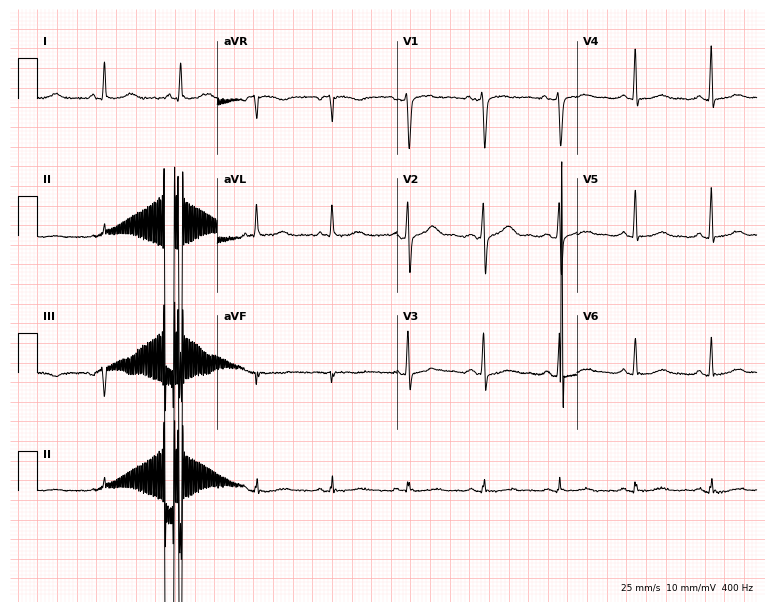
Electrocardiogram, a female, 73 years old. Of the six screened findings (first-degree AV block, right bundle branch block, left bundle branch block, sinus bradycardia, atrial fibrillation, sinus tachycardia), none is recorded. Only these six findings were labelled.